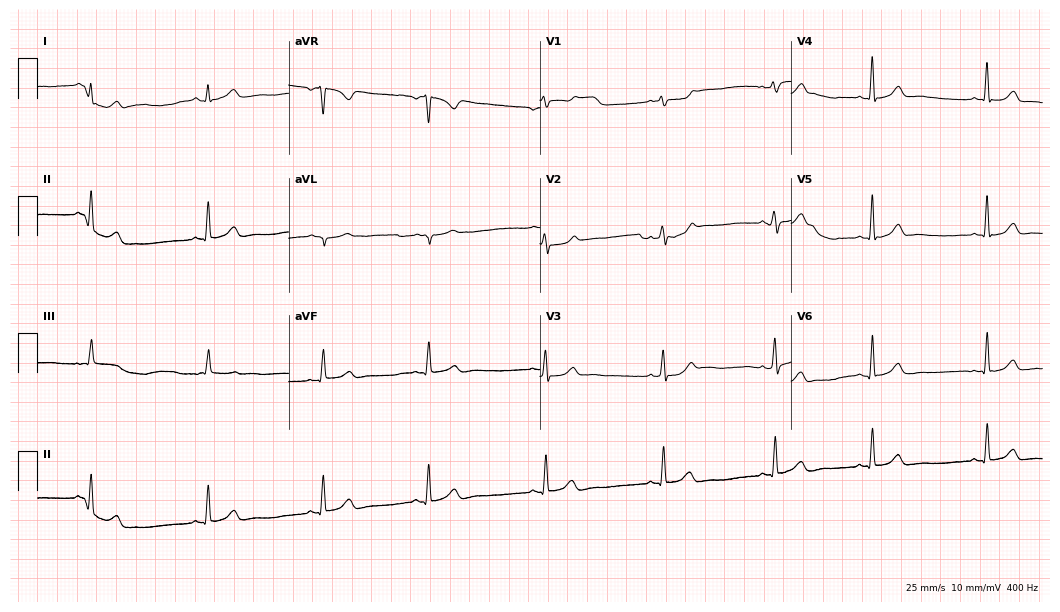
Resting 12-lead electrocardiogram. Patient: a 30-year-old female. Read as a normal ECG.